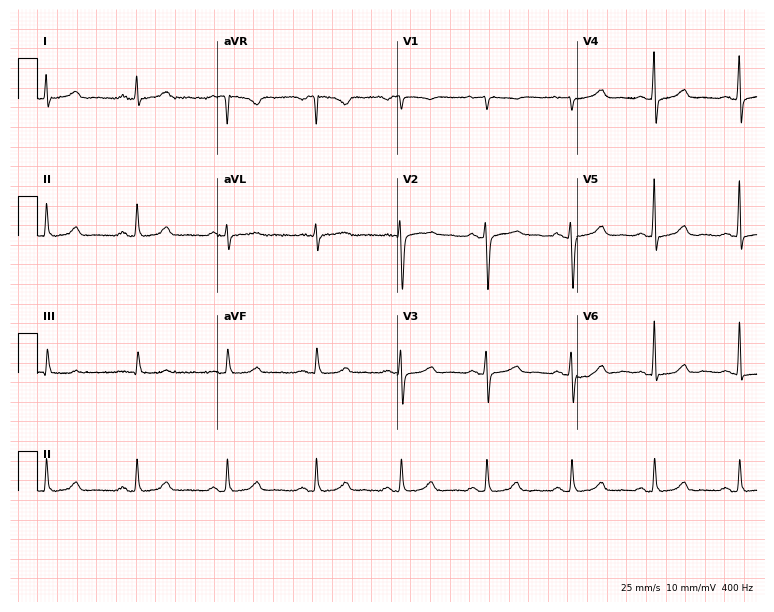
ECG — a female patient, 36 years old. Screened for six findings — first-degree AV block, right bundle branch block, left bundle branch block, sinus bradycardia, atrial fibrillation, sinus tachycardia — none is recorded. Other findings, if any, are not listed.